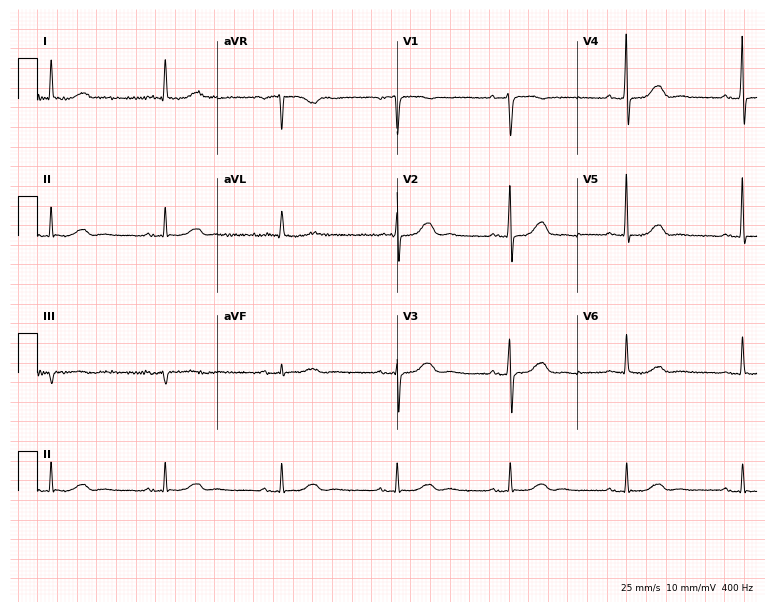
Standard 12-lead ECG recorded from a 67-year-old female (7.3-second recording at 400 Hz). Read as a normal ECG.